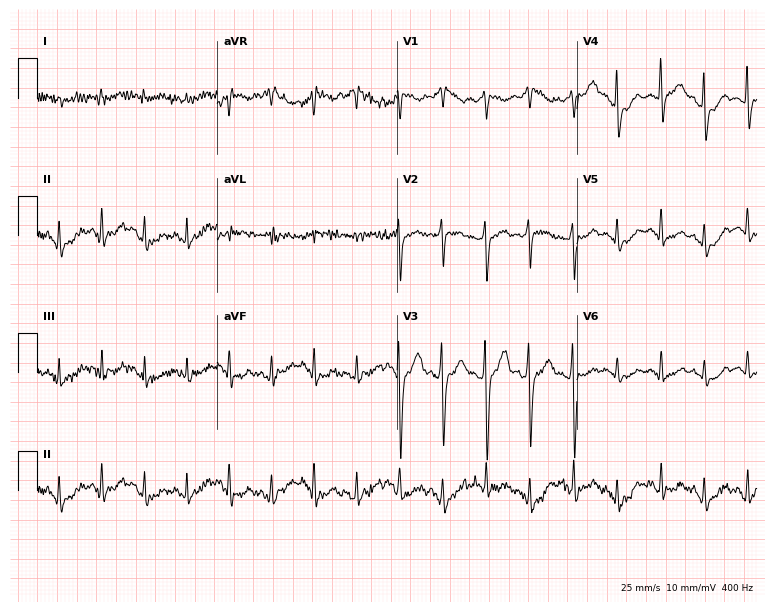
Resting 12-lead electrocardiogram. Patient: a 27-year-old male. None of these six findings is recorded: first-degree AV block, right bundle branch block, left bundle branch block, sinus bradycardia, atrial fibrillation, sinus tachycardia. Findings outside these six are not listed.